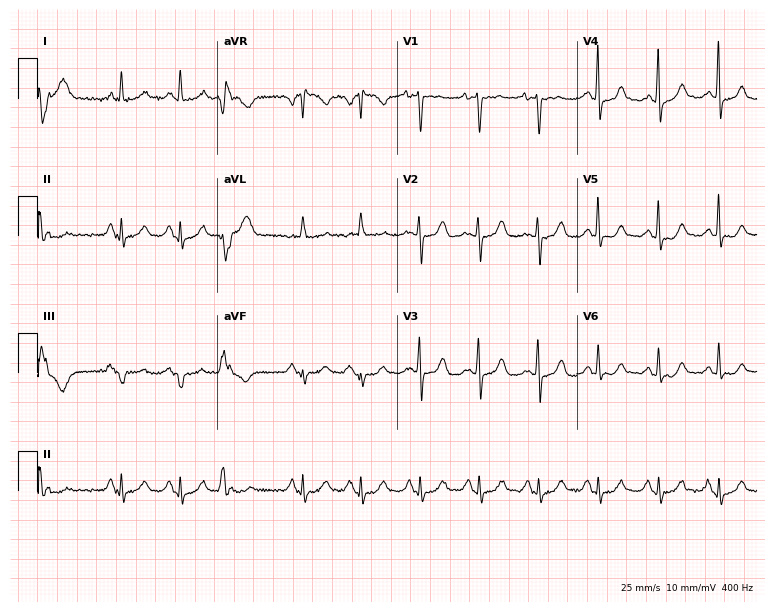
Standard 12-lead ECG recorded from a female patient, 81 years old (7.3-second recording at 400 Hz). None of these six findings is recorded: first-degree AV block, right bundle branch block, left bundle branch block, sinus bradycardia, atrial fibrillation, sinus tachycardia. Other findings, if any, are not listed.